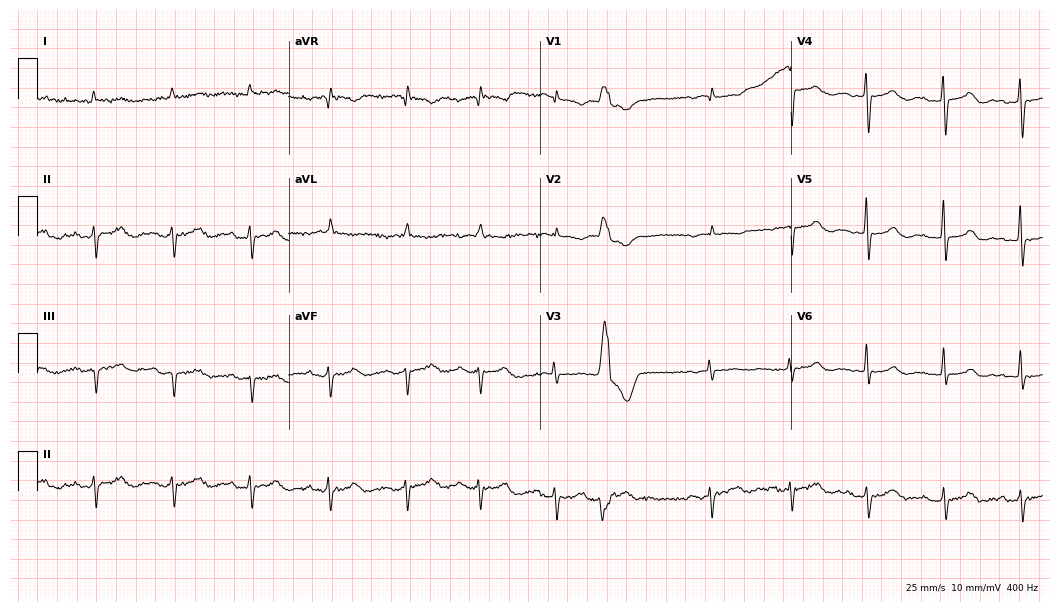
Standard 12-lead ECG recorded from an 83-year-old female patient. None of these six findings is recorded: first-degree AV block, right bundle branch block, left bundle branch block, sinus bradycardia, atrial fibrillation, sinus tachycardia.